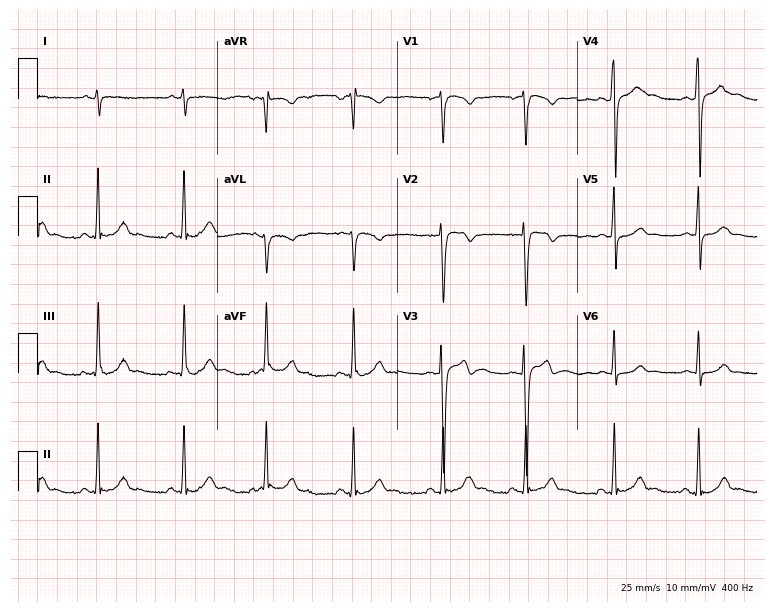
12-lead ECG from a male patient, 19 years old (7.3-second recording at 400 Hz). No first-degree AV block, right bundle branch block, left bundle branch block, sinus bradycardia, atrial fibrillation or sinus tachycardia recorded for this tracing. Only these six findings were labelled.